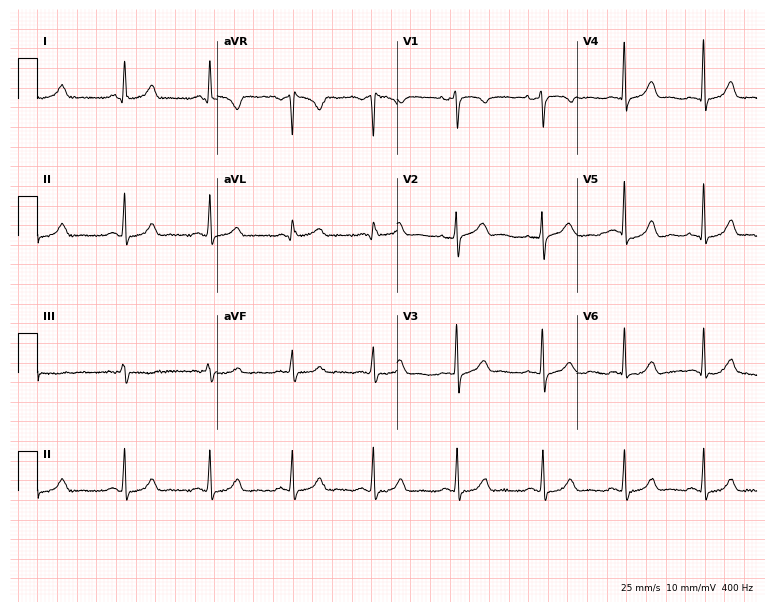
ECG — a female patient, 35 years old. Labelled as a normal ECG.